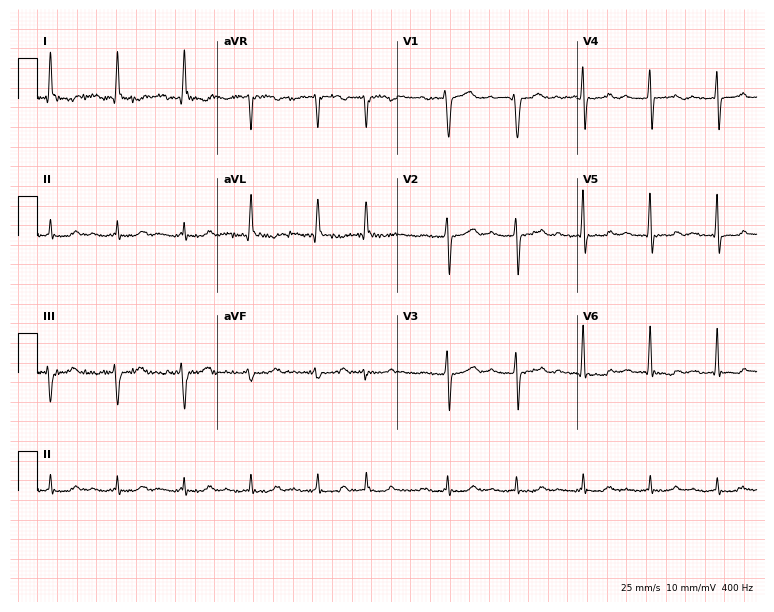
12-lead ECG (7.3-second recording at 400 Hz) from a 74-year-old male patient. Findings include first-degree AV block.